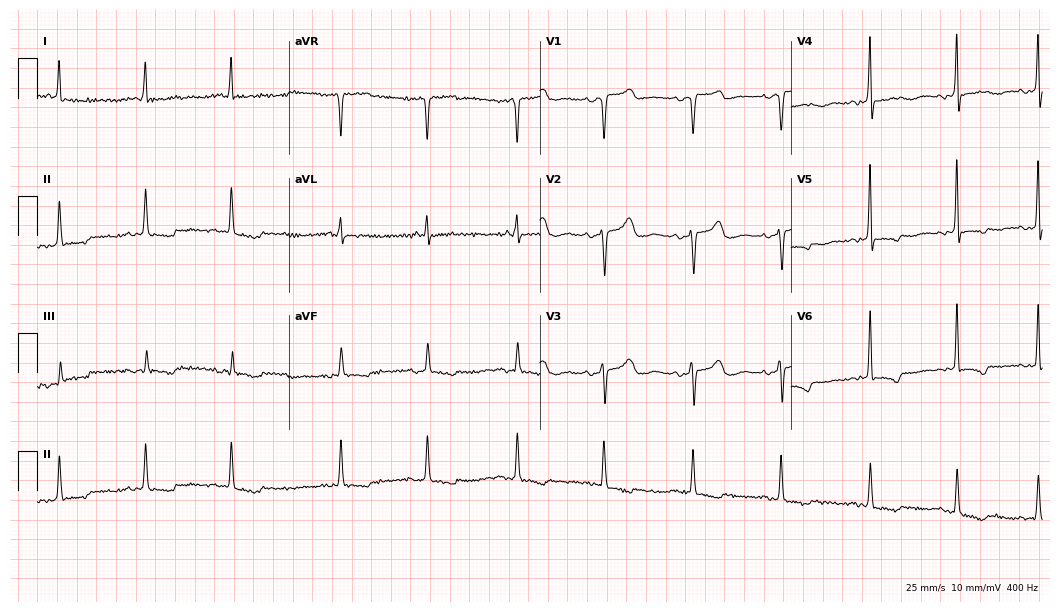
ECG — a female, 77 years old. Screened for six findings — first-degree AV block, right bundle branch block, left bundle branch block, sinus bradycardia, atrial fibrillation, sinus tachycardia — none is recorded. Only these six findings were labelled.